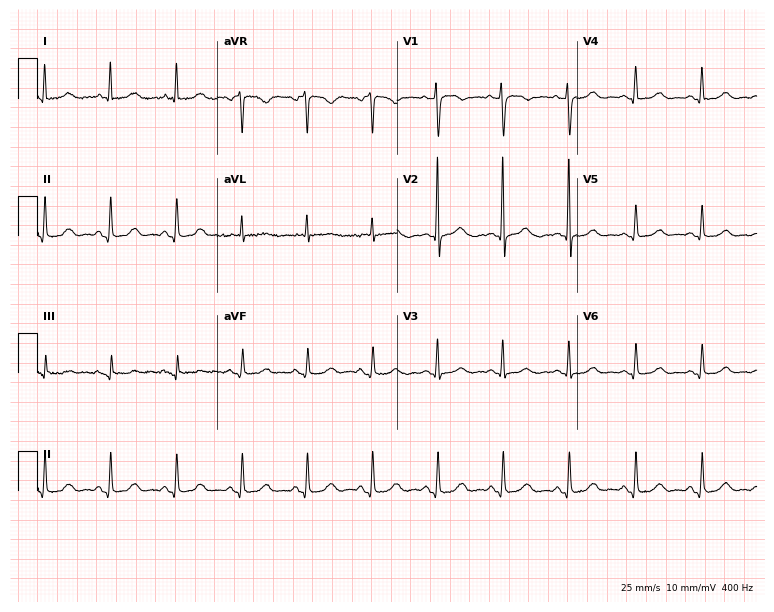
Standard 12-lead ECG recorded from a 77-year-old female. Read as a normal ECG.